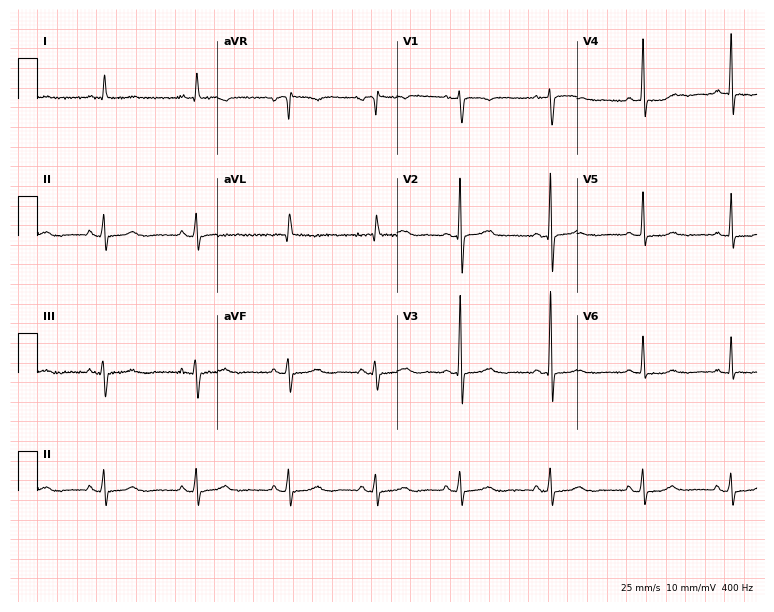
12-lead ECG from a 49-year-old female. Labelled as a normal ECG.